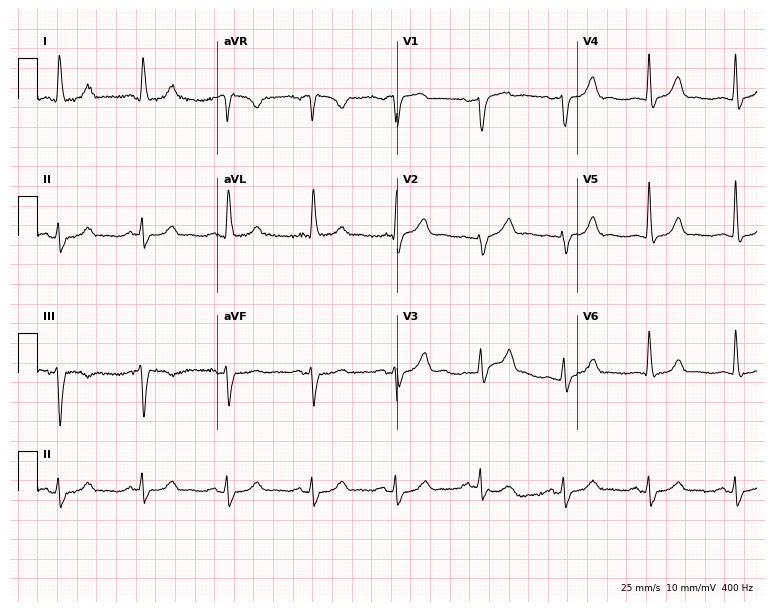
12-lead ECG (7.3-second recording at 400 Hz) from a female patient, 77 years old. Screened for six findings — first-degree AV block, right bundle branch block (RBBB), left bundle branch block (LBBB), sinus bradycardia, atrial fibrillation (AF), sinus tachycardia — none is recorded.